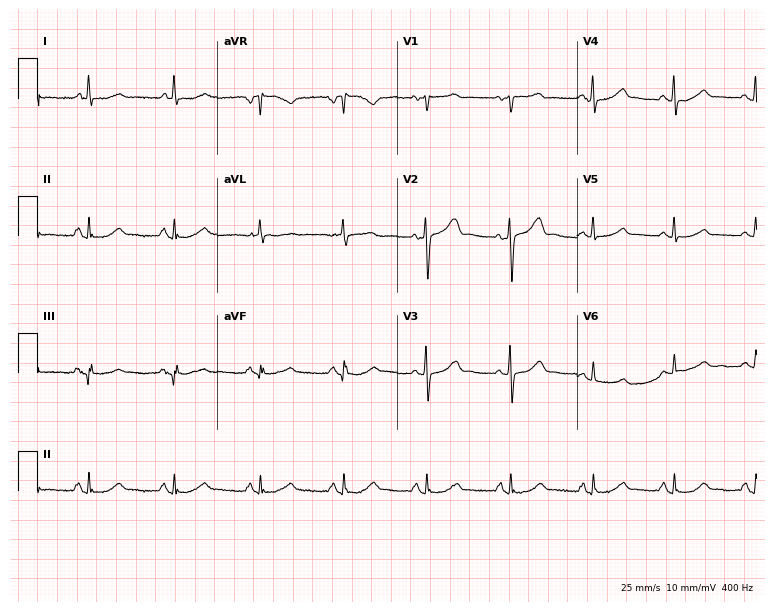
12-lead ECG from a female, 64 years old. Recorded interpretation: within normal limits.